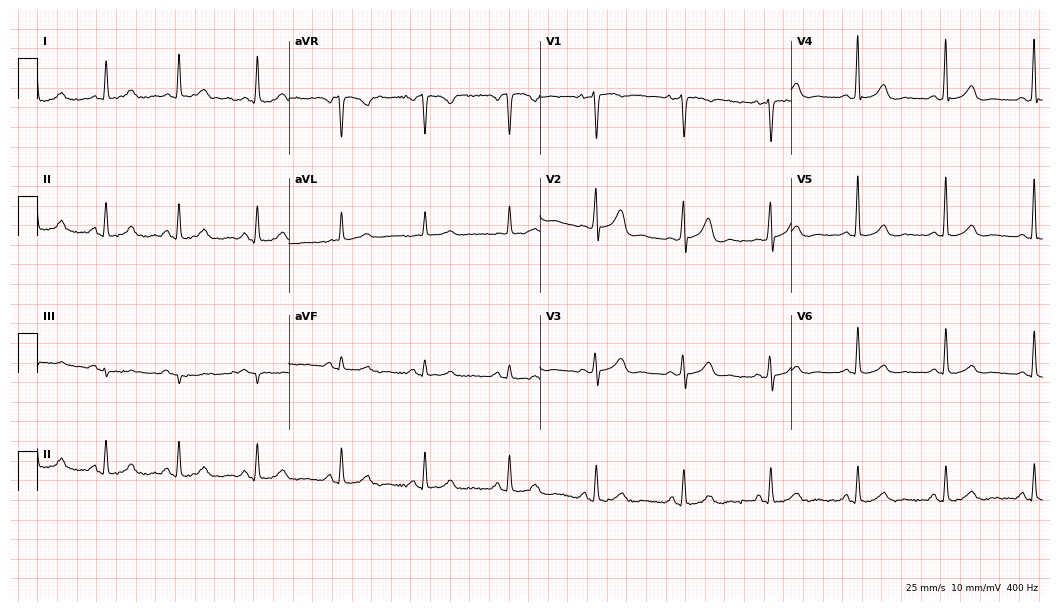
Standard 12-lead ECG recorded from a 56-year-old woman. Read as a normal ECG.